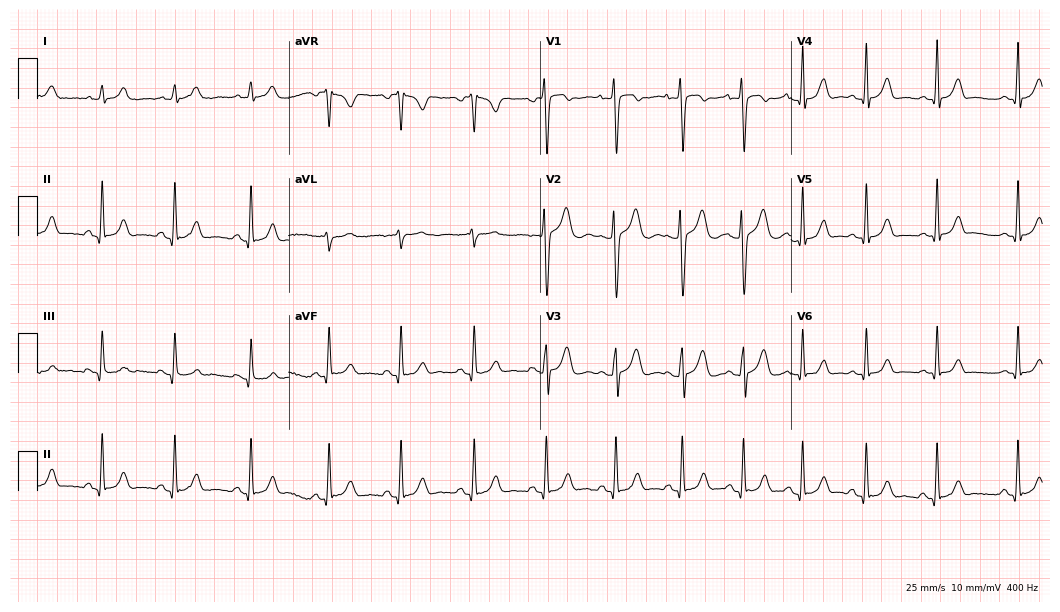
Resting 12-lead electrocardiogram (10.2-second recording at 400 Hz). Patient: a 19-year-old man. Read as a normal ECG.